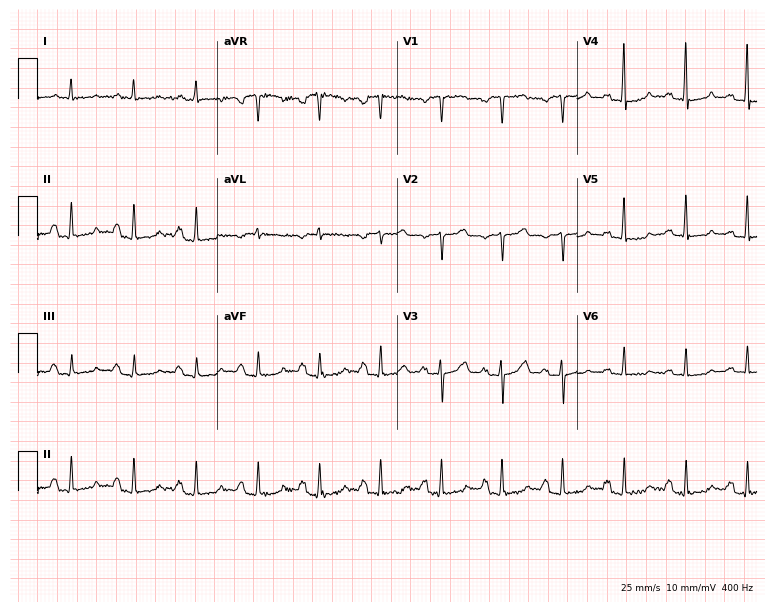
12-lead ECG (7.3-second recording at 400 Hz) from an 82-year-old female. Labelled as a normal ECG.